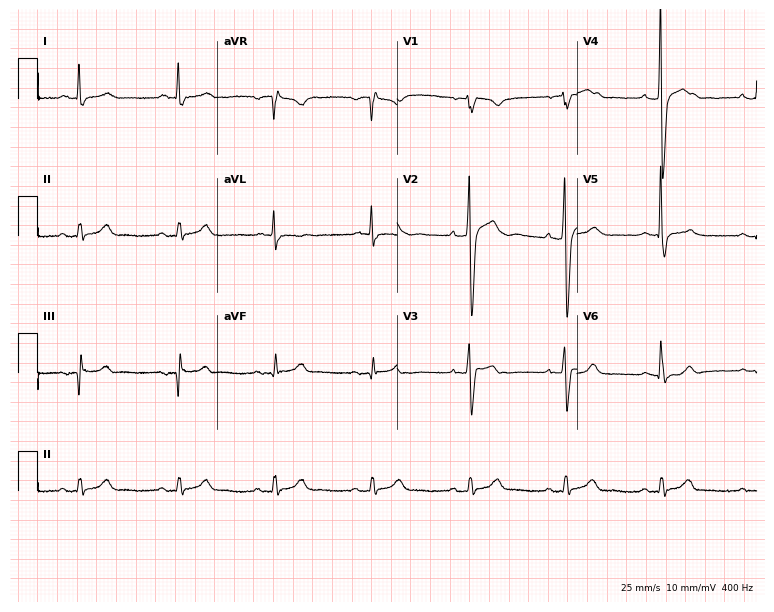
ECG (7.3-second recording at 400 Hz) — a 67-year-old male patient. Screened for six findings — first-degree AV block, right bundle branch block, left bundle branch block, sinus bradycardia, atrial fibrillation, sinus tachycardia — none is recorded. Findings outside these six are not listed.